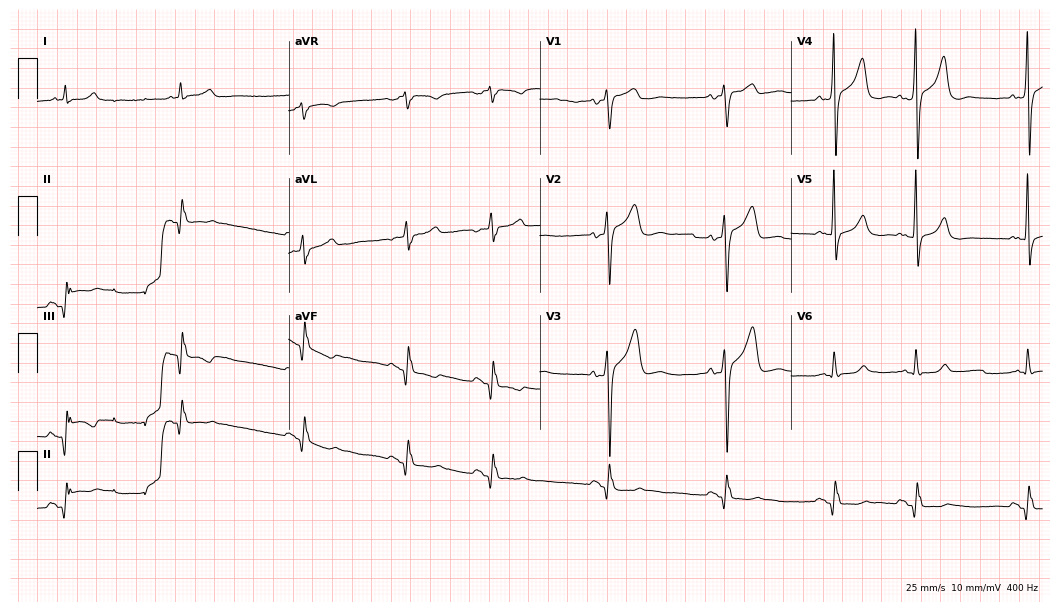
12-lead ECG (10.2-second recording at 400 Hz) from a 65-year-old male. Screened for six findings — first-degree AV block, right bundle branch block (RBBB), left bundle branch block (LBBB), sinus bradycardia, atrial fibrillation (AF), sinus tachycardia — none is recorded. Findings outside these six are not listed.